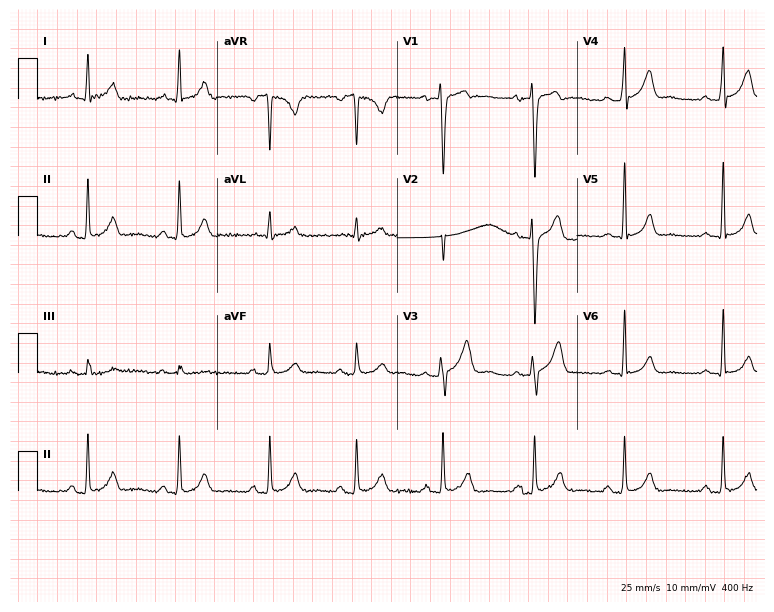
12-lead ECG from a 28-year-old man. Recorded interpretation: within normal limits.